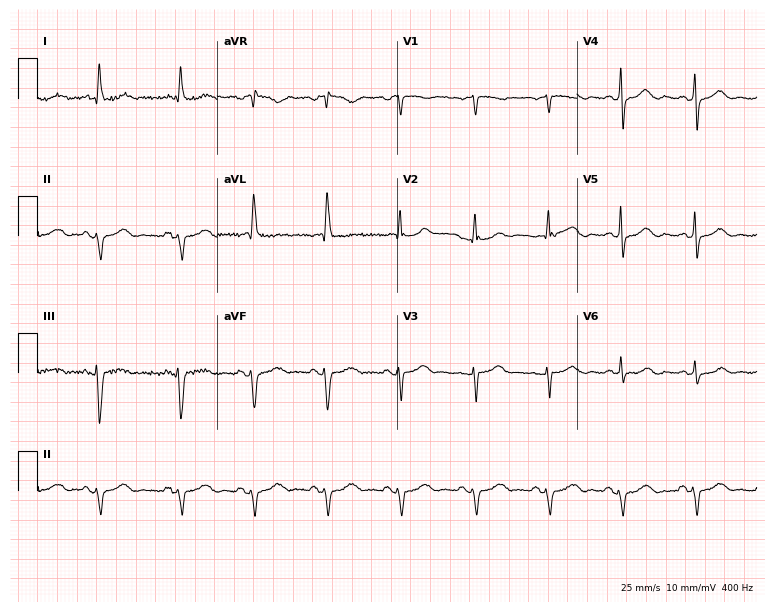
Resting 12-lead electrocardiogram (7.3-second recording at 400 Hz). Patient: an 82-year-old female. None of these six findings is recorded: first-degree AV block, right bundle branch block, left bundle branch block, sinus bradycardia, atrial fibrillation, sinus tachycardia.